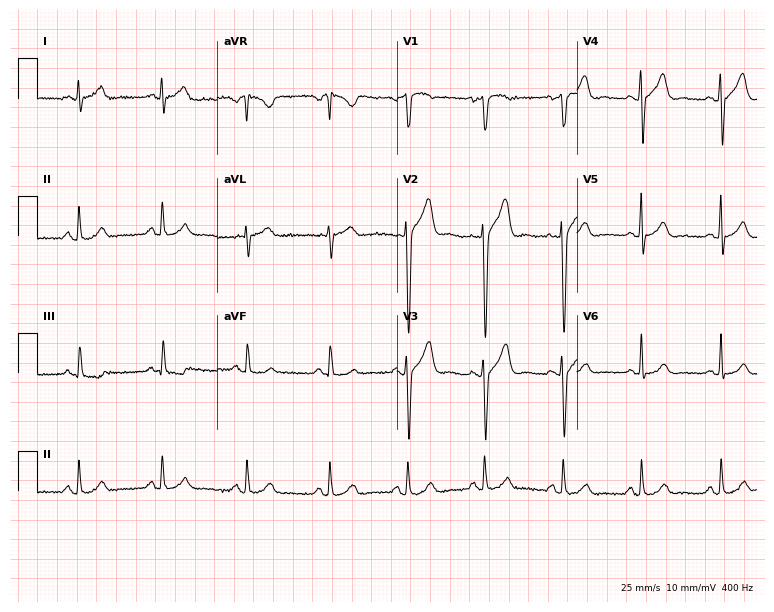
12-lead ECG from a male, 34 years old. Recorded interpretation: within normal limits.